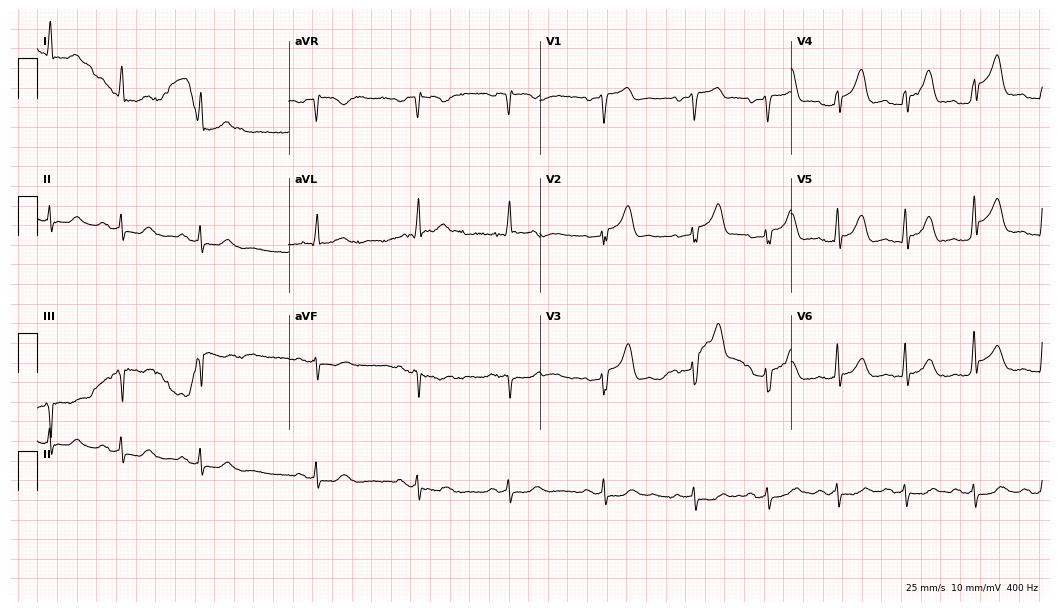
ECG — a man, 71 years old. Screened for six findings — first-degree AV block, right bundle branch block (RBBB), left bundle branch block (LBBB), sinus bradycardia, atrial fibrillation (AF), sinus tachycardia — none is recorded.